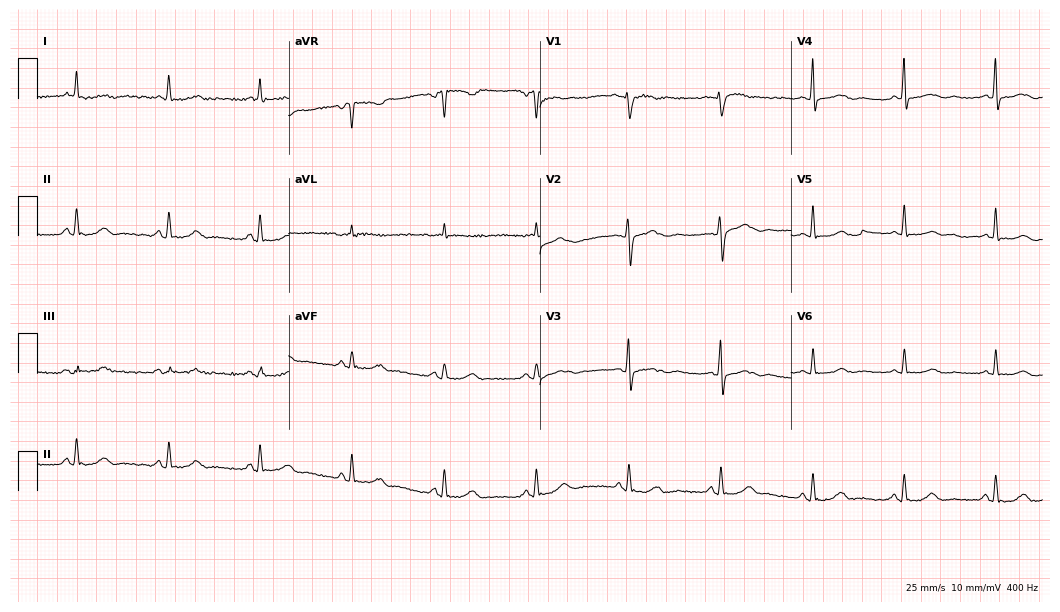
ECG — a 54-year-old female patient. Labelled as a normal ECG.